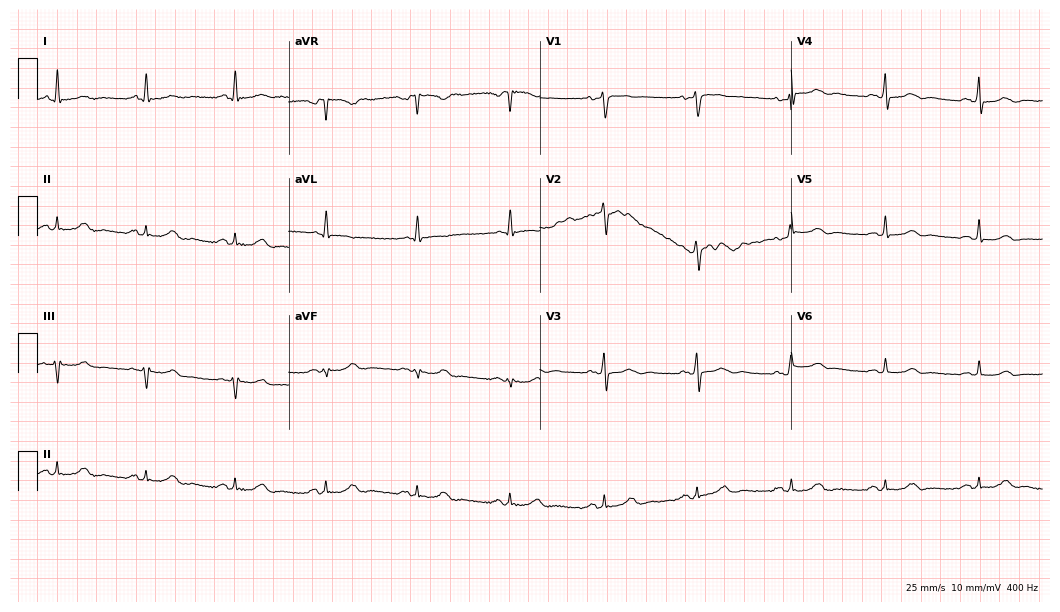
Resting 12-lead electrocardiogram (10.2-second recording at 400 Hz). Patient: a 53-year-old female. None of these six findings is recorded: first-degree AV block, right bundle branch block, left bundle branch block, sinus bradycardia, atrial fibrillation, sinus tachycardia. Findings outside these six are not listed.